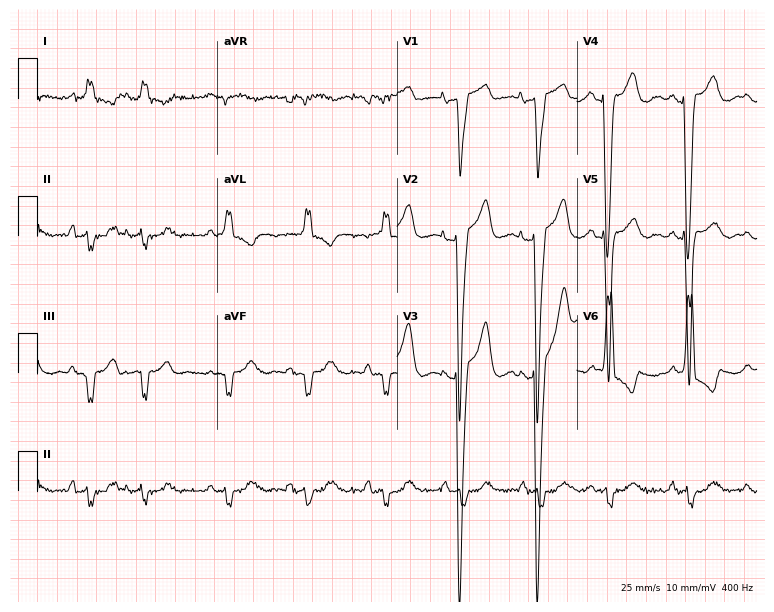
ECG — an 85-year-old female patient. Findings include left bundle branch block.